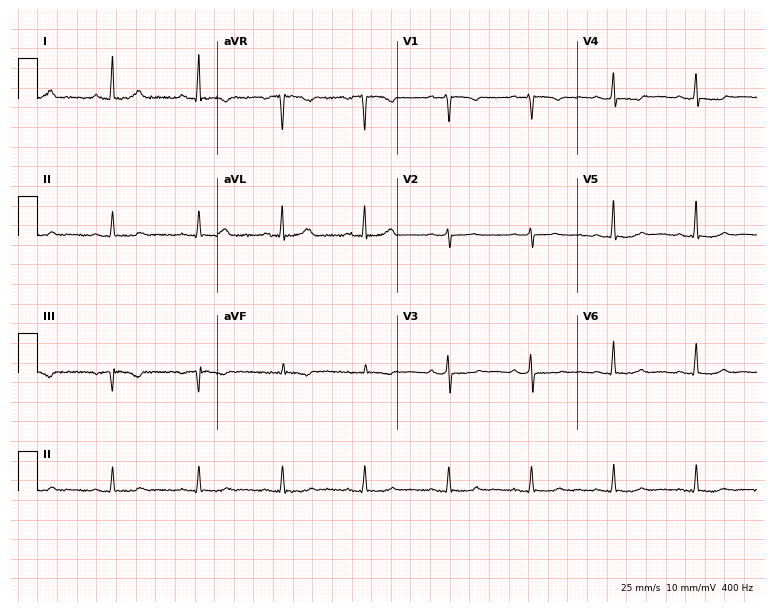
12-lead ECG from a 71-year-old female. No first-degree AV block, right bundle branch block, left bundle branch block, sinus bradycardia, atrial fibrillation or sinus tachycardia recorded for this tracing.